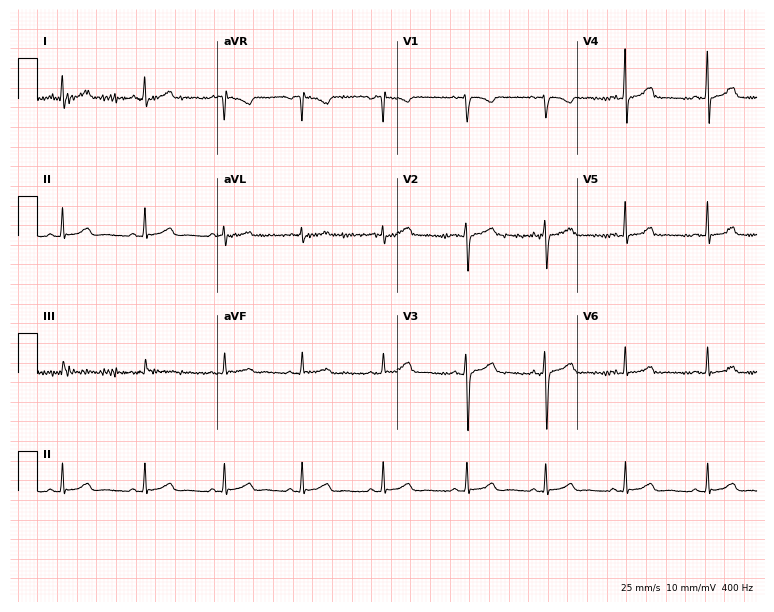
Standard 12-lead ECG recorded from a female, 34 years old. None of these six findings is recorded: first-degree AV block, right bundle branch block, left bundle branch block, sinus bradycardia, atrial fibrillation, sinus tachycardia.